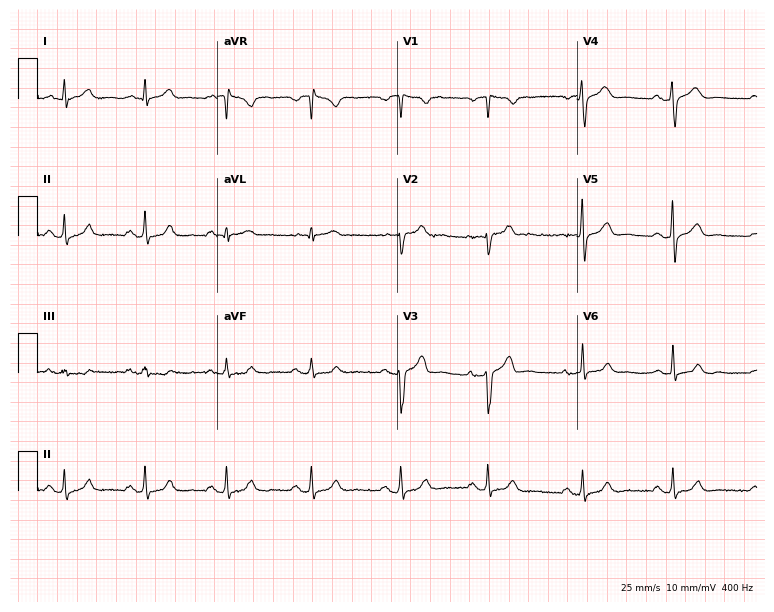
Standard 12-lead ECG recorded from a male, 41 years old. Read as a normal ECG.